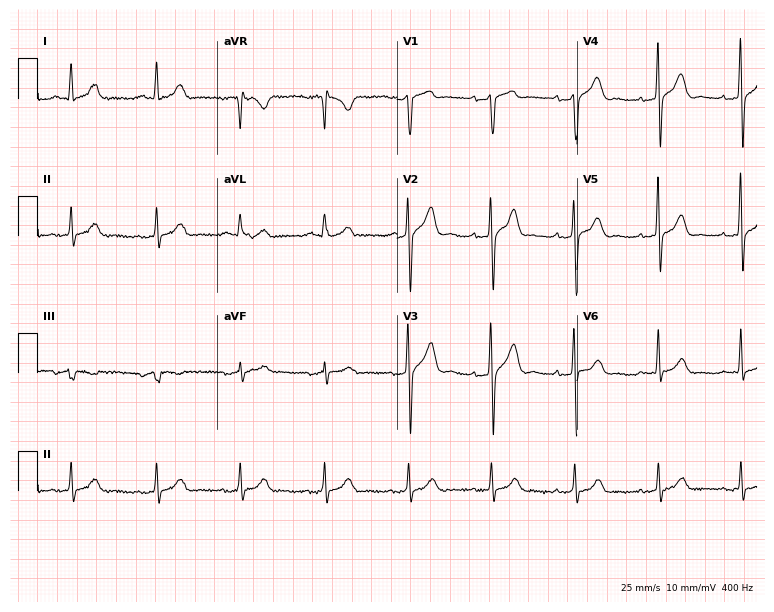
12-lead ECG from a male patient, 61 years old. Labelled as a normal ECG.